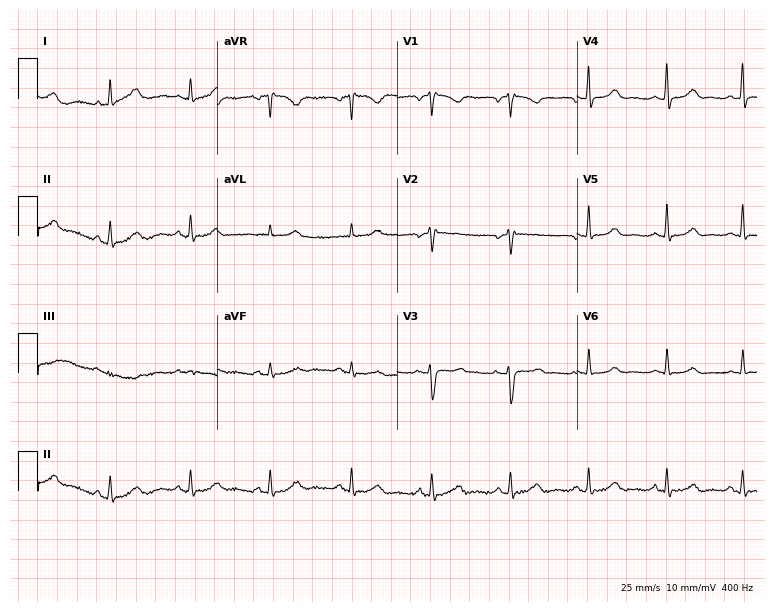
12-lead ECG from a female, 41 years old. No first-degree AV block, right bundle branch block, left bundle branch block, sinus bradycardia, atrial fibrillation or sinus tachycardia recorded for this tracing. Findings outside these six are not listed.